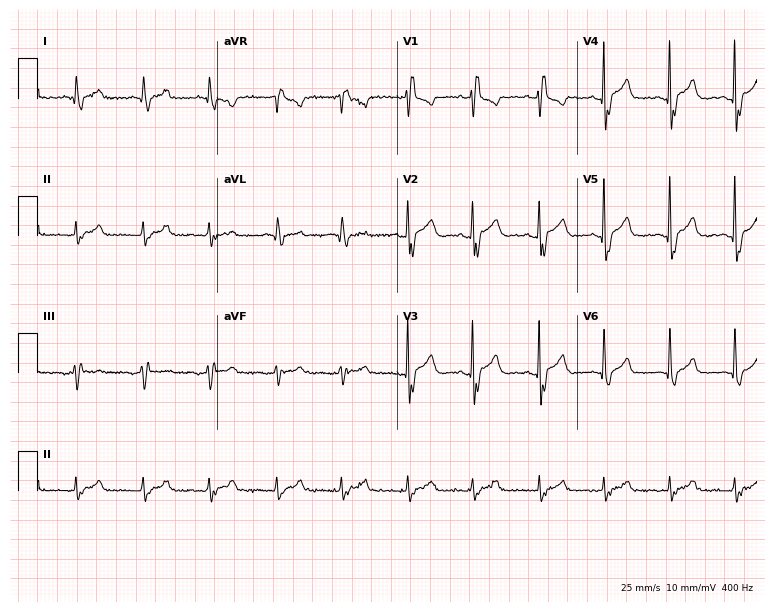
12-lead ECG from a 69-year-old male patient (7.3-second recording at 400 Hz). No first-degree AV block, right bundle branch block, left bundle branch block, sinus bradycardia, atrial fibrillation or sinus tachycardia recorded for this tracing.